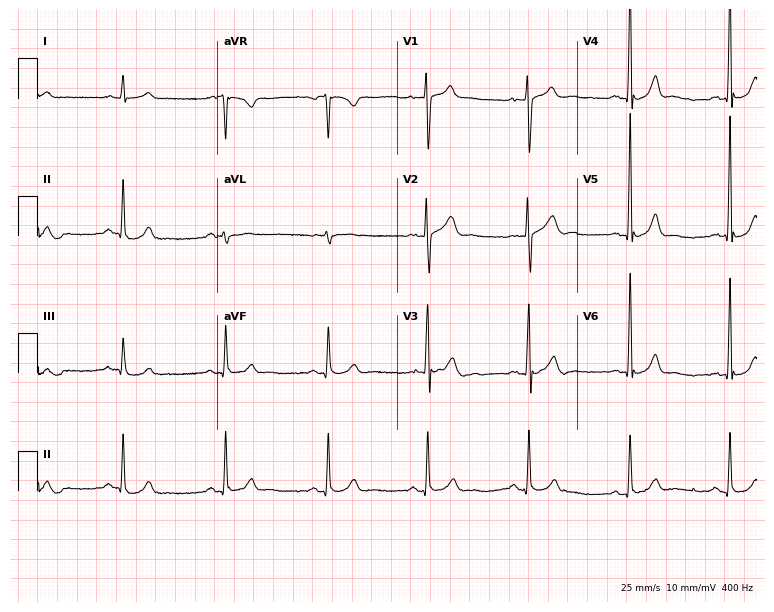
ECG — a male, 32 years old. Labelled as a normal ECG.